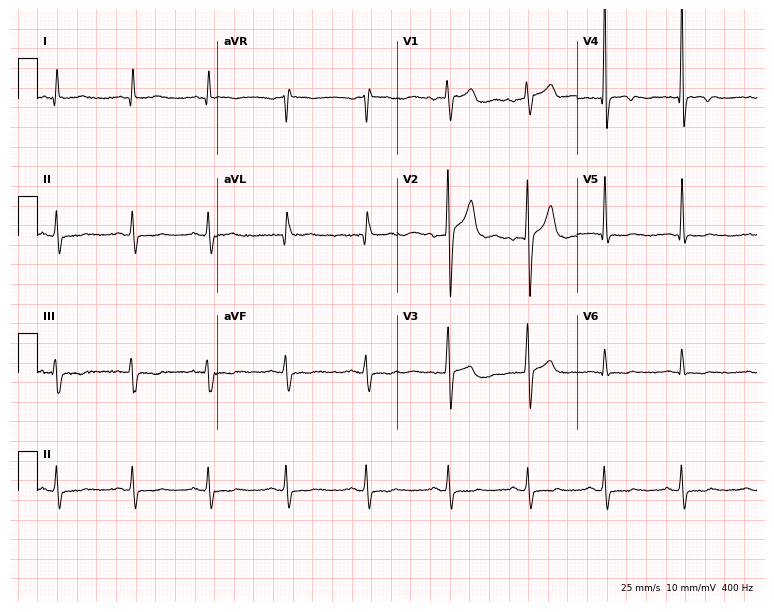
Resting 12-lead electrocardiogram. Patient: a 37-year-old man. None of these six findings is recorded: first-degree AV block, right bundle branch block, left bundle branch block, sinus bradycardia, atrial fibrillation, sinus tachycardia. Findings outside these six are not listed.